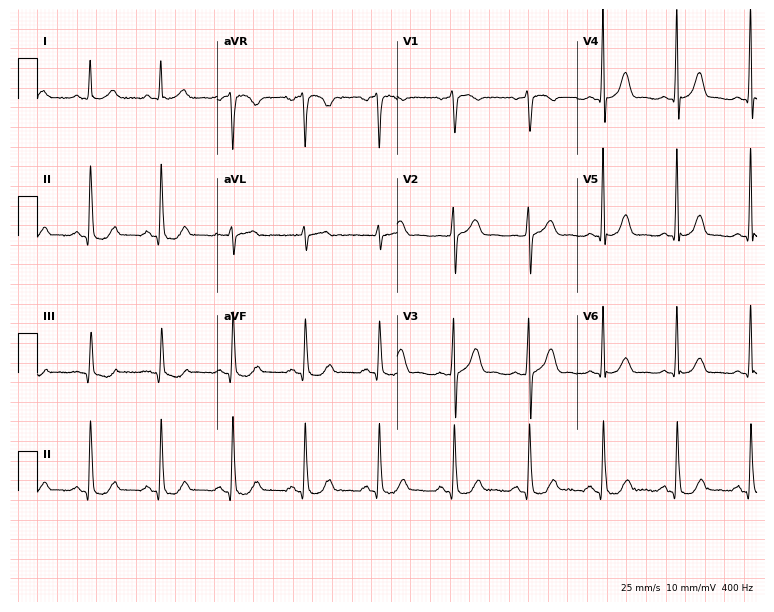
Resting 12-lead electrocardiogram. Patient: a 66-year-old female. None of these six findings is recorded: first-degree AV block, right bundle branch block, left bundle branch block, sinus bradycardia, atrial fibrillation, sinus tachycardia.